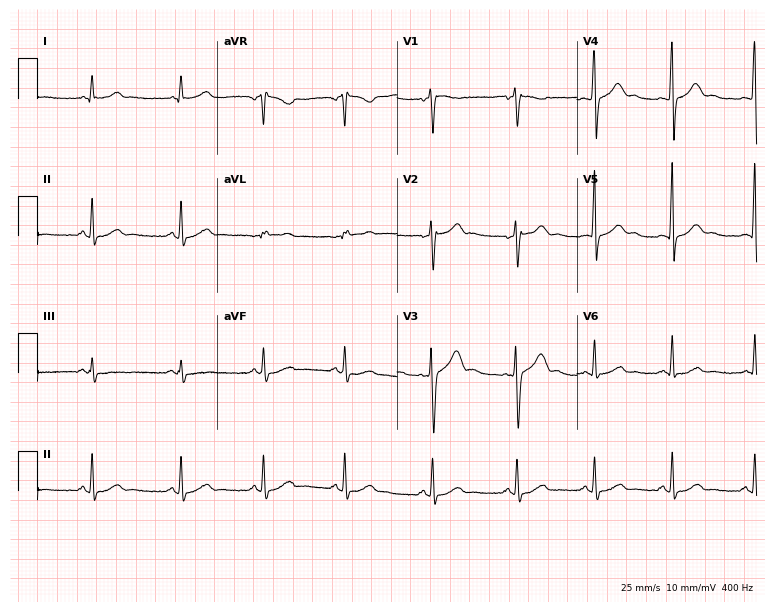
12-lead ECG from a woman, 19 years old (7.3-second recording at 400 Hz). Recorded interpretation: within normal limits.